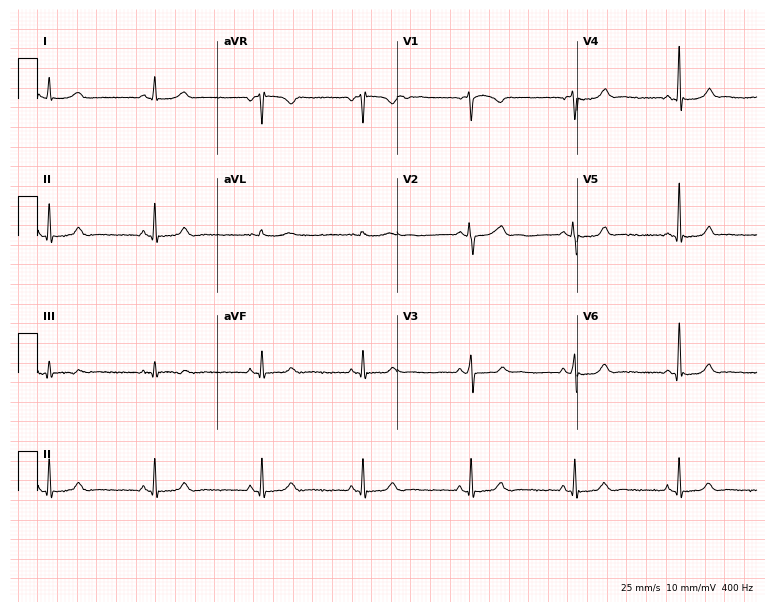
ECG (7.3-second recording at 400 Hz) — a female, 22 years old. Labelled as a normal ECG.